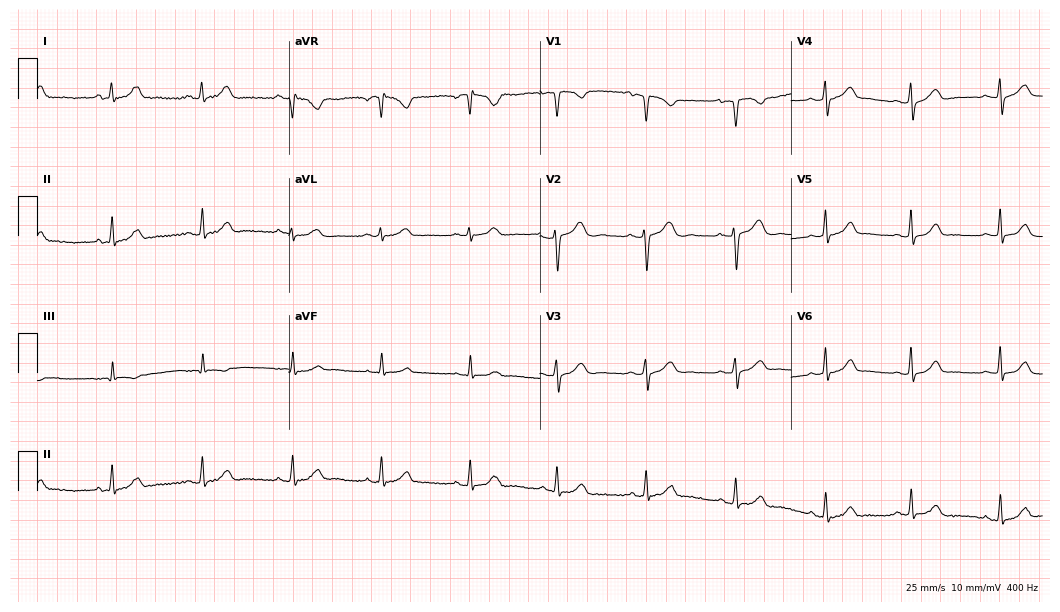
12-lead ECG from a woman, 34 years old. Recorded interpretation: within normal limits.